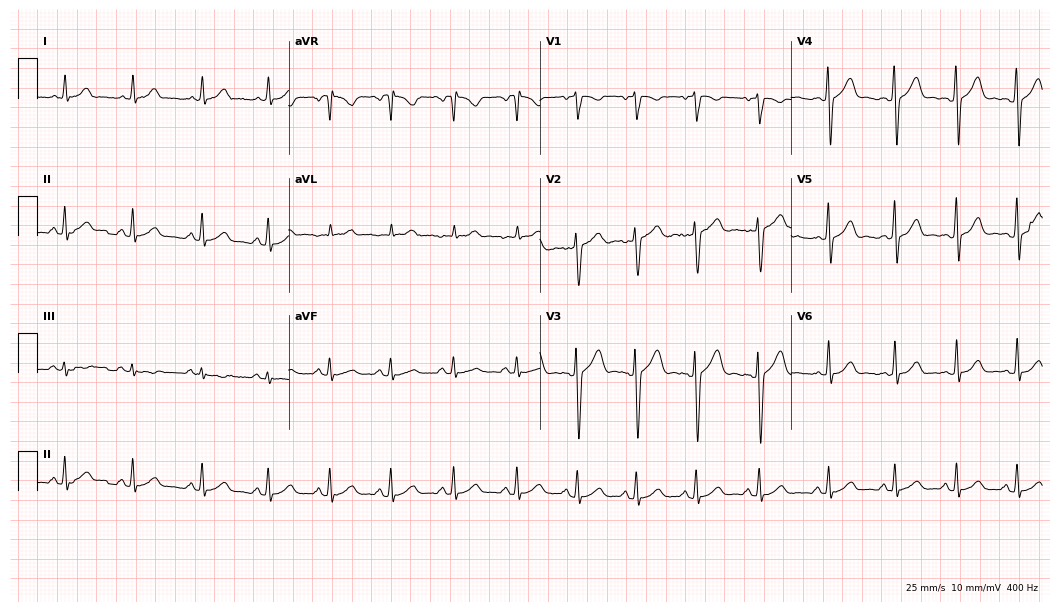
ECG (10.2-second recording at 400 Hz) — a 20-year-old female. Labelled as a normal ECG.